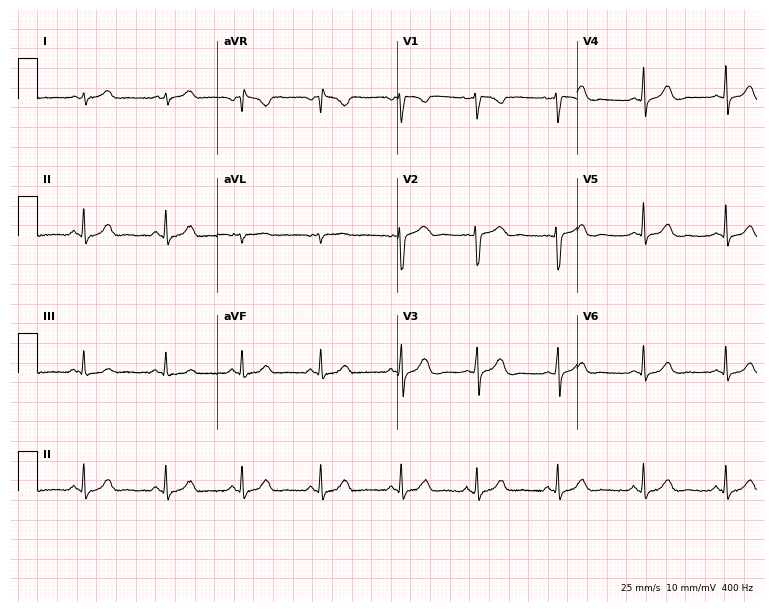
Standard 12-lead ECG recorded from a female patient, 31 years old (7.3-second recording at 400 Hz). None of these six findings is recorded: first-degree AV block, right bundle branch block, left bundle branch block, sinus bradycardia, atrial fibrillation, sinus tachycardia.